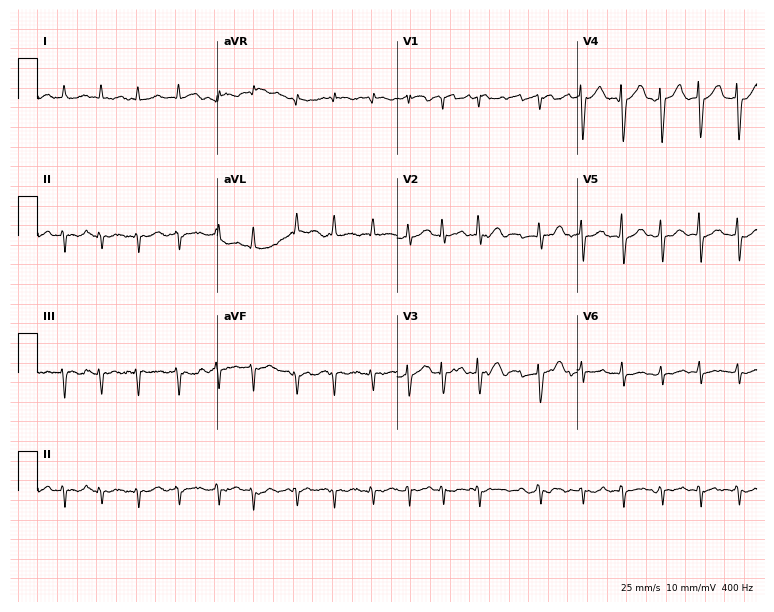
Standard 12-lead ECG recorded from a 75-year-old female patient (7.3-second recording at 400 Hz). The tracing shows atrial fibrillation.